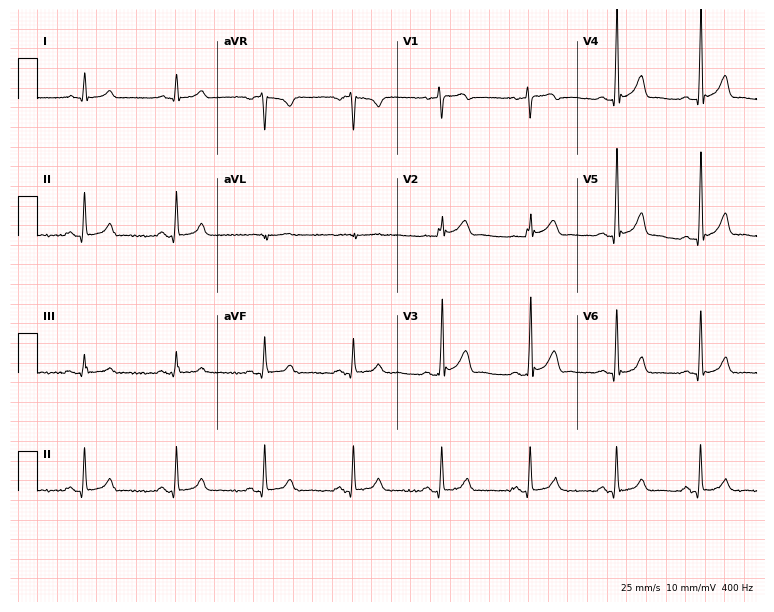
ECG — a 49-year-old male. Labelled as a normal ECG.